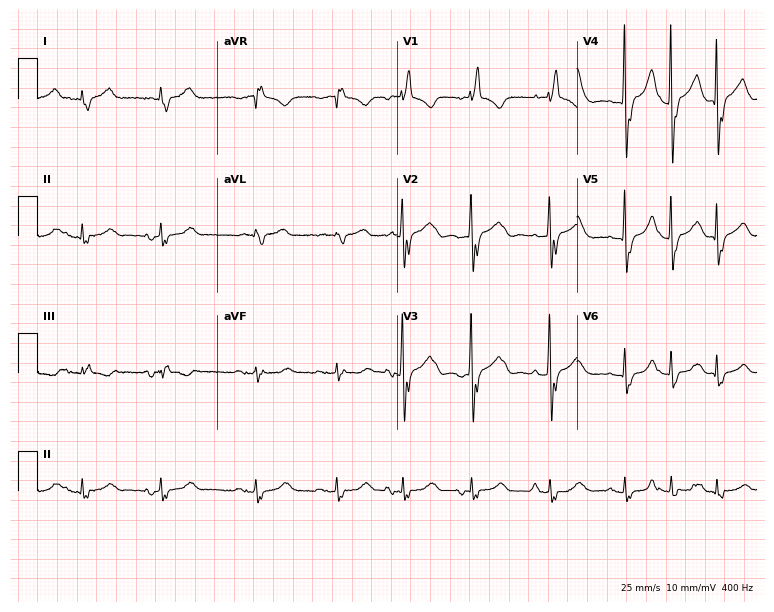
12-lead ECG from a woman, 76 years old. Shows right bundle branch block (RBBB).